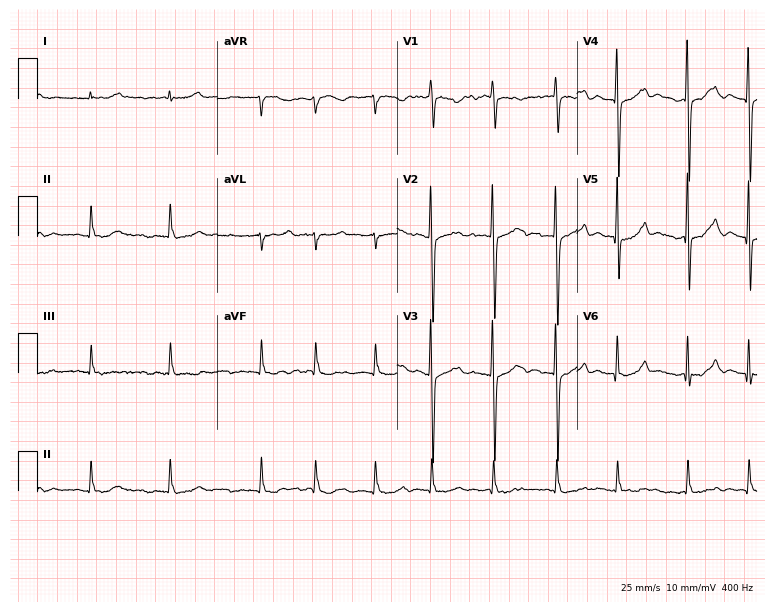
Resting 12-lead electrocardiogram (7.3-second recording at 400 Hz). Patient: a woman, 82 years old. The tracing shows atrial fibrillation.